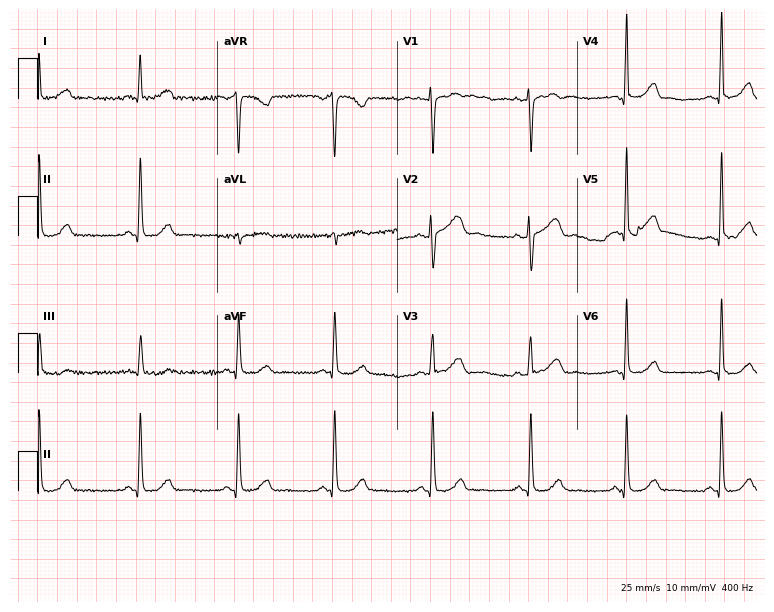
12-lead ECG from a 39-year-old female (7.3-second recording at 400 Hz). Recorded interpretation: within normal limits.